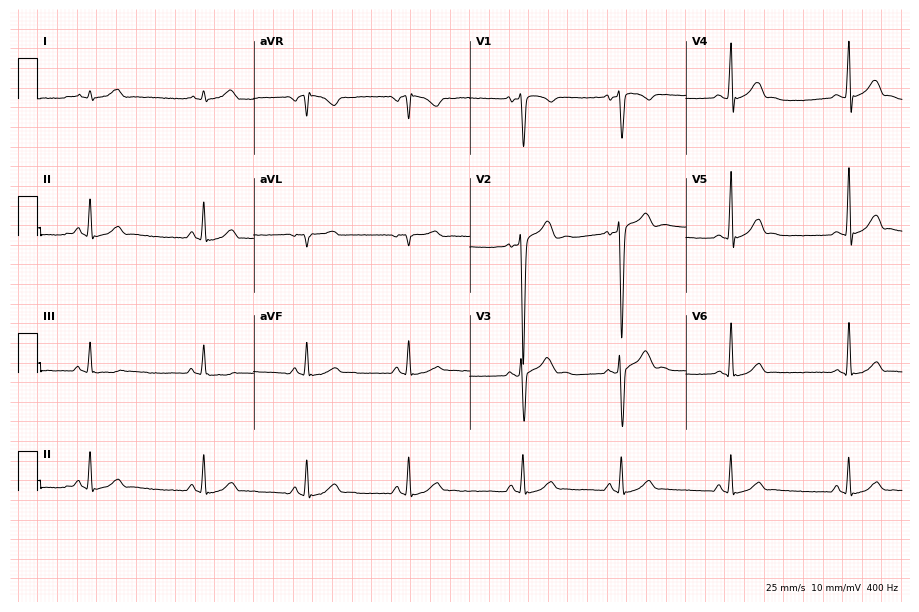
Resting 12-lead electrocardiogram (8.8-second recording at 400 Hz). Patient: a 17-year-old man. Read as a normal ECG.